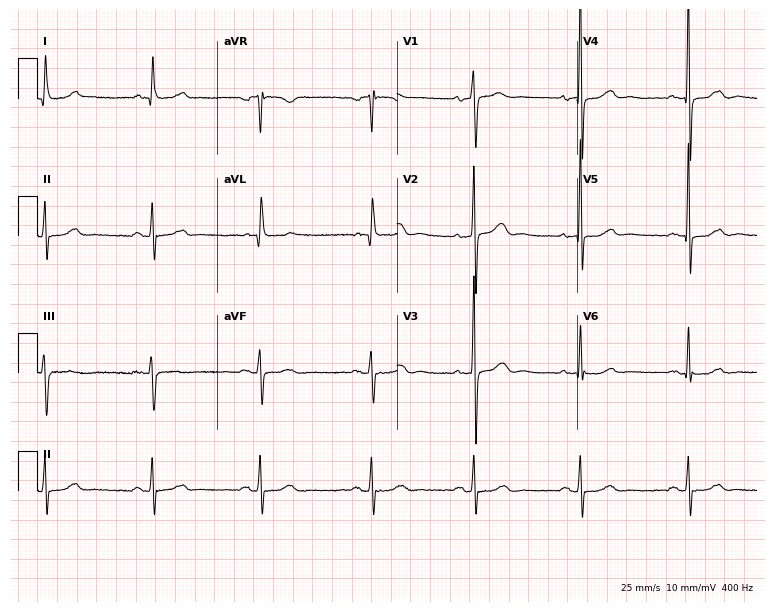
12-lead ECG from a female, 63 years old. Labelled as a normal ECG.